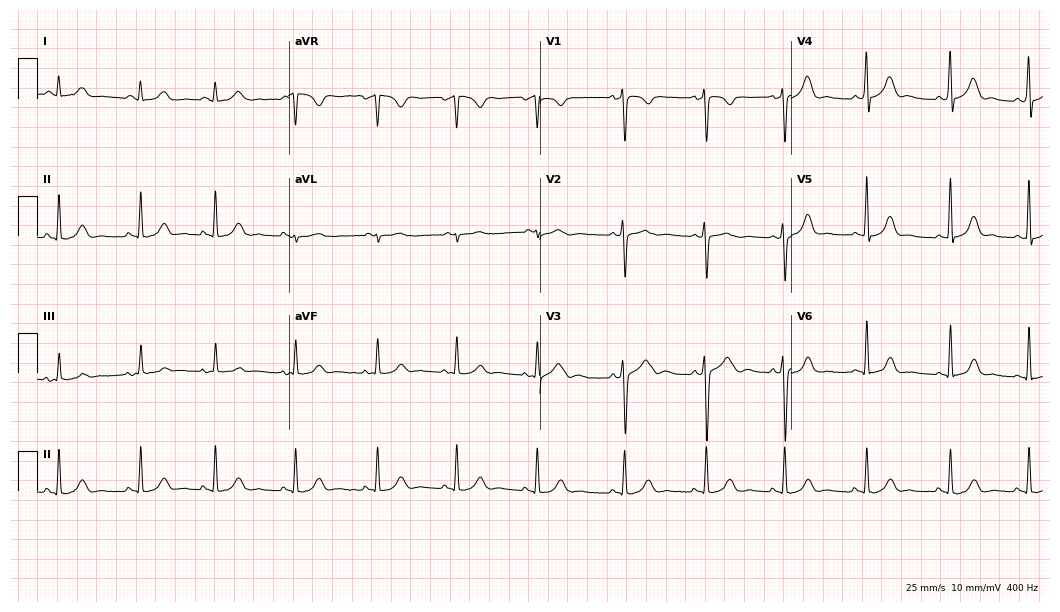
Resting 12-lead electrocardiogram (10.2-second recording at 400 Hz). Patient: a 24-year-old female. Read as a normal ECG.